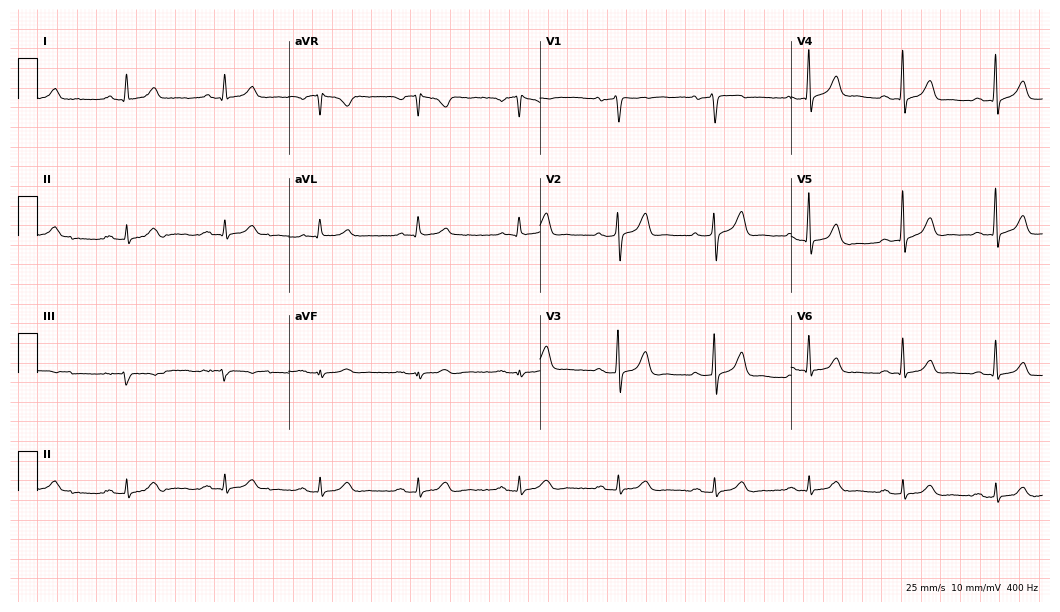
12-lead ECG from a male, 54 years old. No first-degree AV block, right bundle branch block, left bundle branch block, sinus bradycardia, atrial fibrillation or sinus tachycardia recorded for this tracing. Other findings, if any, are not listed.